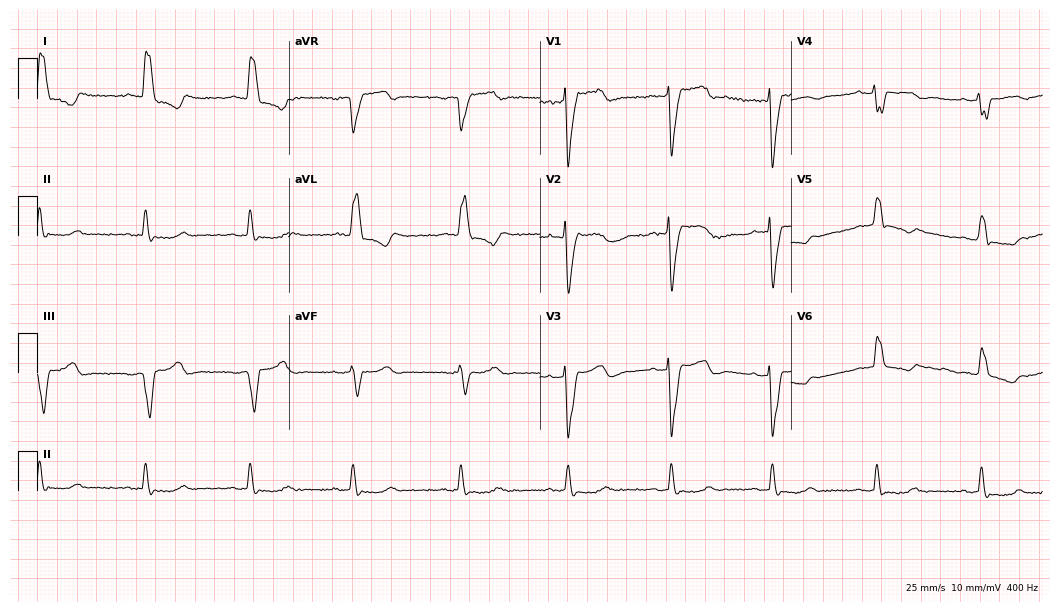
Electrocardiogram, a female, 74 years old. Interpretation includes left bundle branch block.